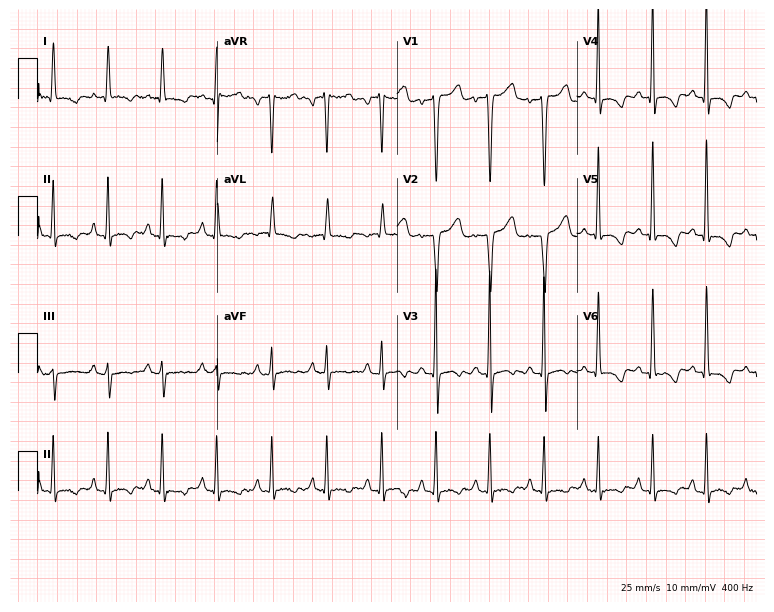
ECG (7.3-second recording at 400 Hz) — a woman, 60 years old. Findings include sinus tachycardia (a sinus rate of 100 beats per minute or more).